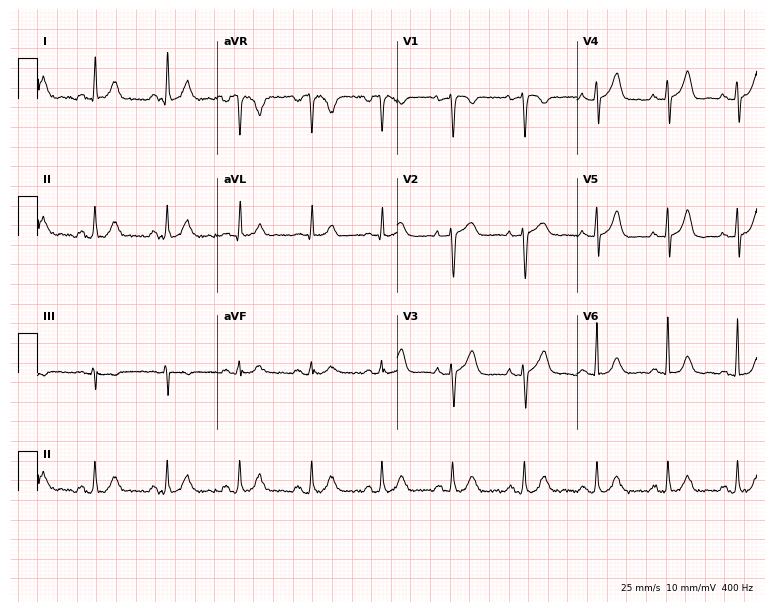
ECG — a 42-year-old woman. Labelled as a normal ECG.